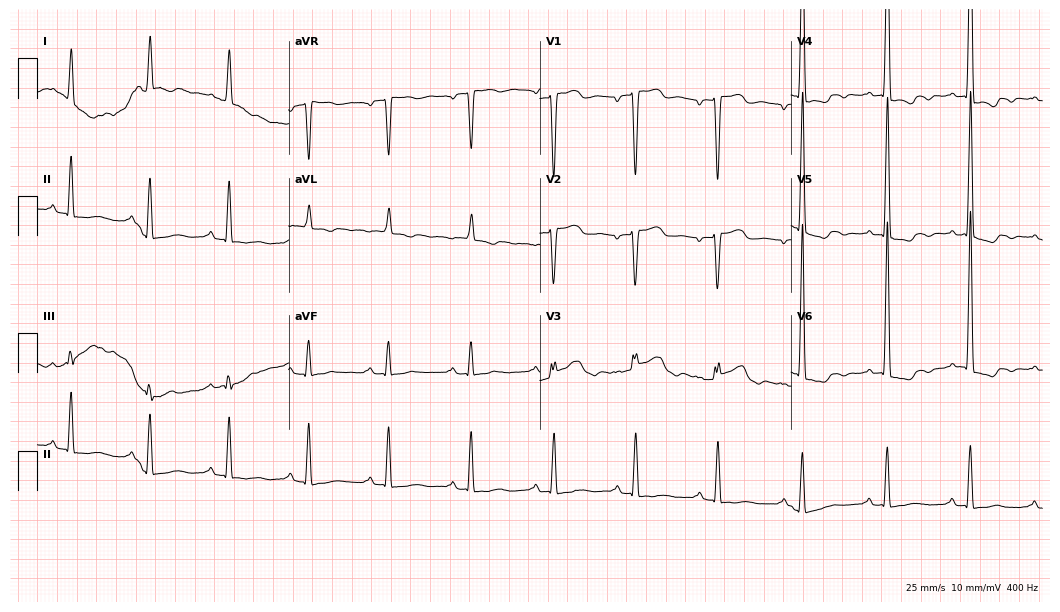
Electrocardiogram (10.2-second recording at 400 Hz), a male, 80 years old. Of the six screened findings (first-degree AV block, right bundle branch block (RBBB), left bundle branch block (LBBB), sinus bradycardia, atrial fibrillation (AF), sinus tachycardia), none is recorded.